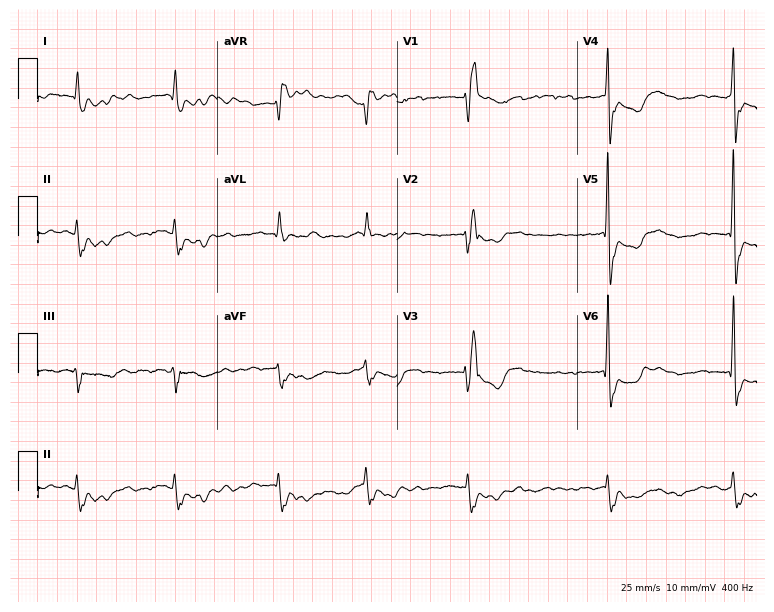
Standard 12-lead ECG recorded from a 77-year-old woman (7.3-second recording at 400 Hz). The tracing shows right bundle branch block (RBBB), atrial fibrillation (AF).